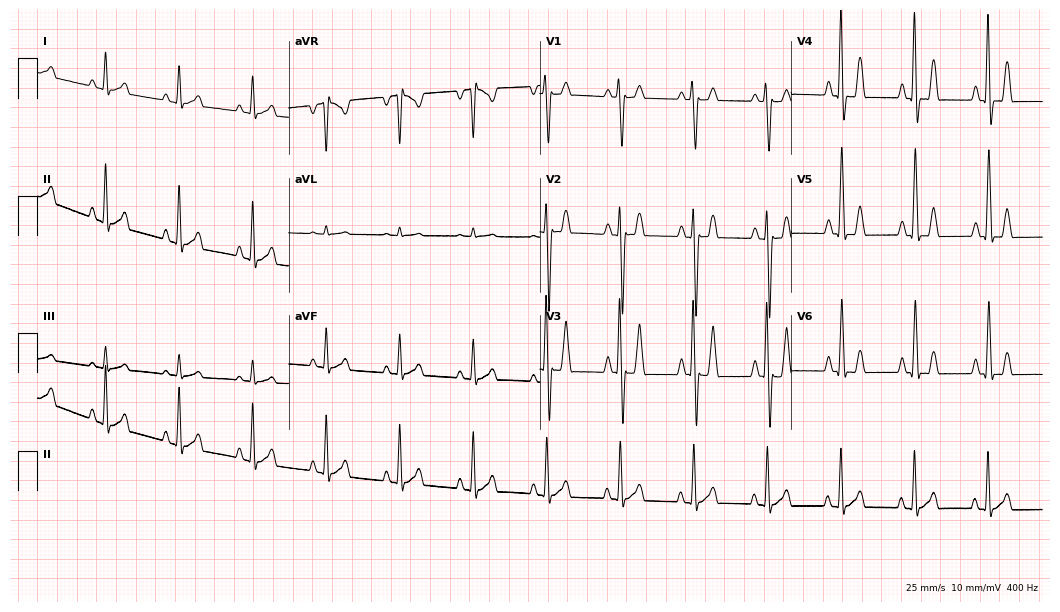
Resting 12-lead electrocardiogram (10.2-second recording at 400 Hz). Patient: a female, 27 years old. None of these six findings is recorded: first-degree AV block, right bundle branch block, left bundle branch block, sinus bradycardia, atrial fibrillation, sinus tachycardia.